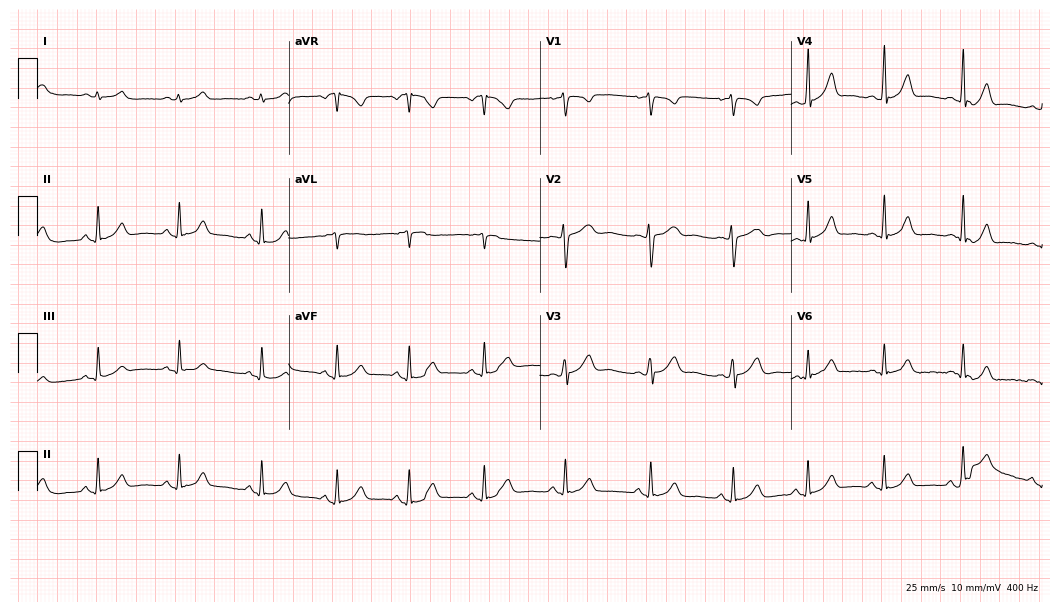
Standard 12-lead ECG recorded from an 18-year-old female patient (10.2-second recording at 400 Hz). Read as a normal ECG.